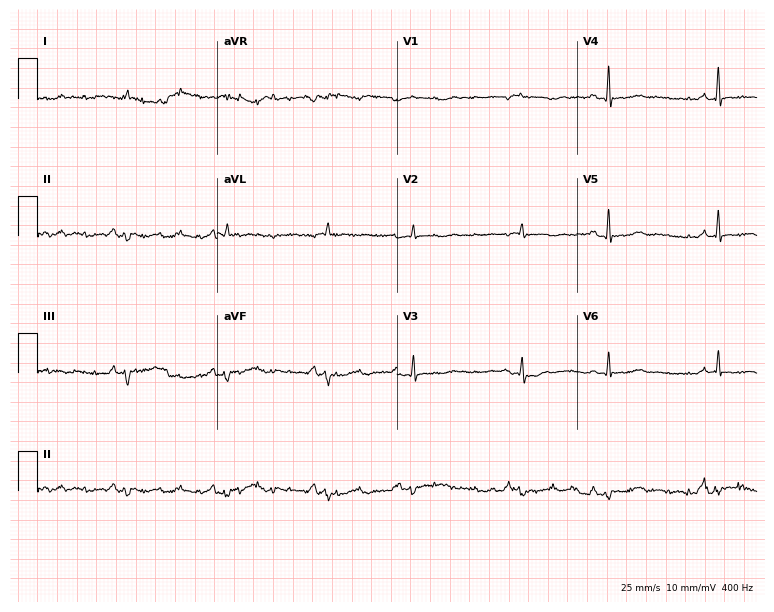
ECG — an 84-year-old male. Screened for six findings — first-degree AV block, right bundle branch block (RBBB), left bundle branch block (LBBB), sinus bradycardia, atrial fibrillation (AF), sinus tachycardia — none is recorded.